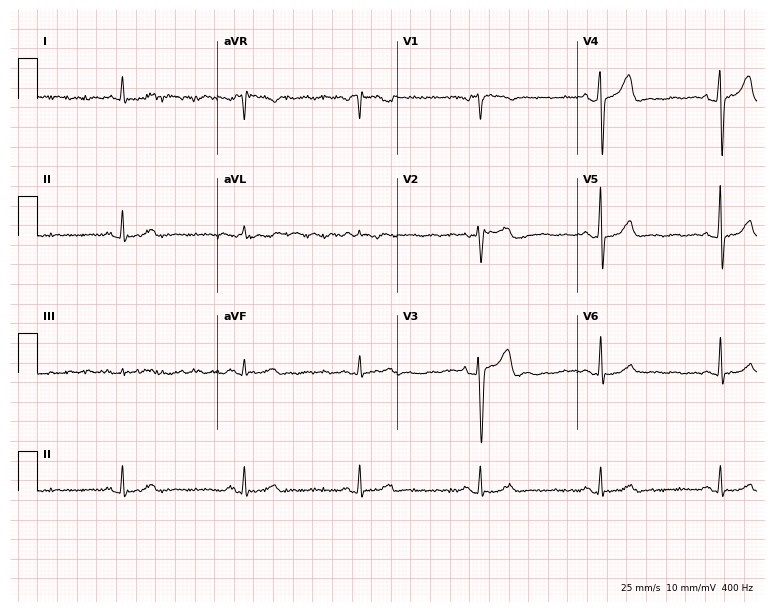
12-lead ECG from a 65-year-old male patient (7.3-second recording at 400 Hz). Shows sinus bradycardia (a sinus rate of 50 beats per minute or less).